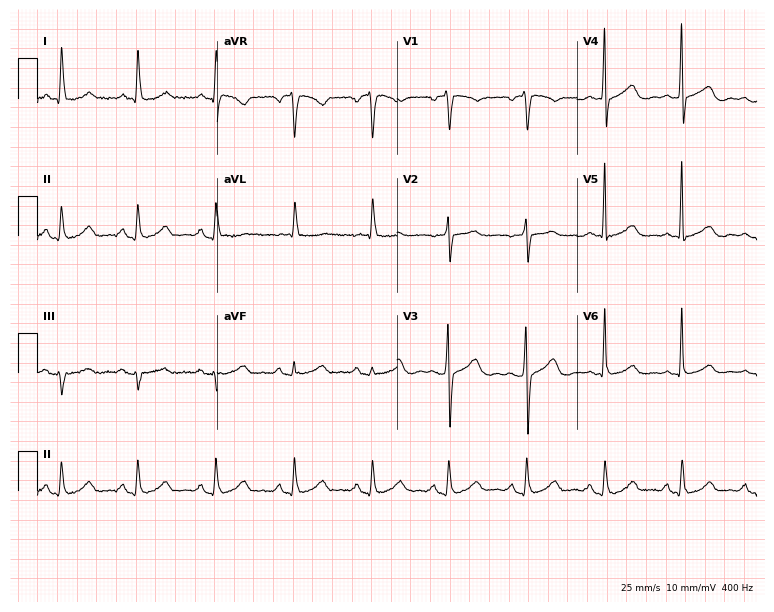
Electrocardiogram (7.3-second recording at 400 Hz), a woman, 71 years old. Of the six screened findings (first-degree AV block, right bundle branch block, left bundle branch block, sinus bradycardia, atrial fibrillation, sinus tachycardia), none is recorded.